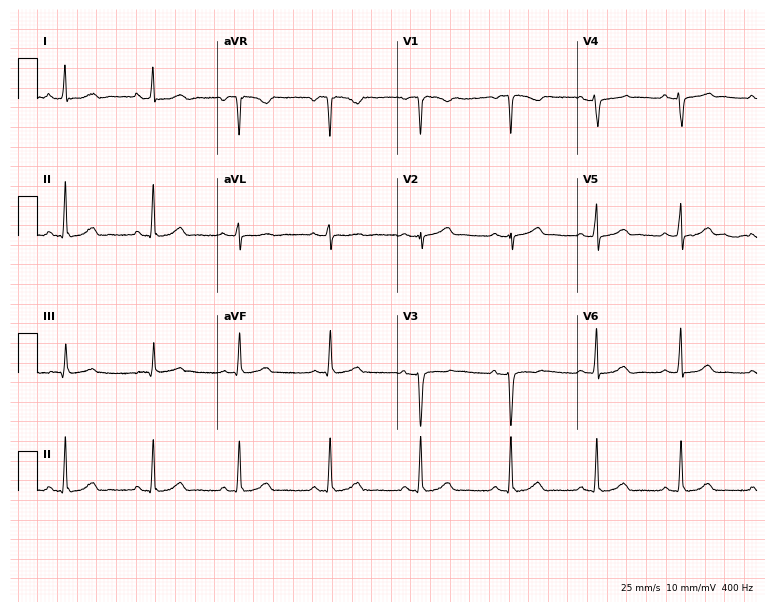
12-lead ECG from a 44-year-old female patient (7.3-second recording at 400 Hz). No first-degree AV block, right bundle branch block, left bundle branch block, sinus bradycardia, atrial fibrillation or sinus tachycardia recorded for this tracing.